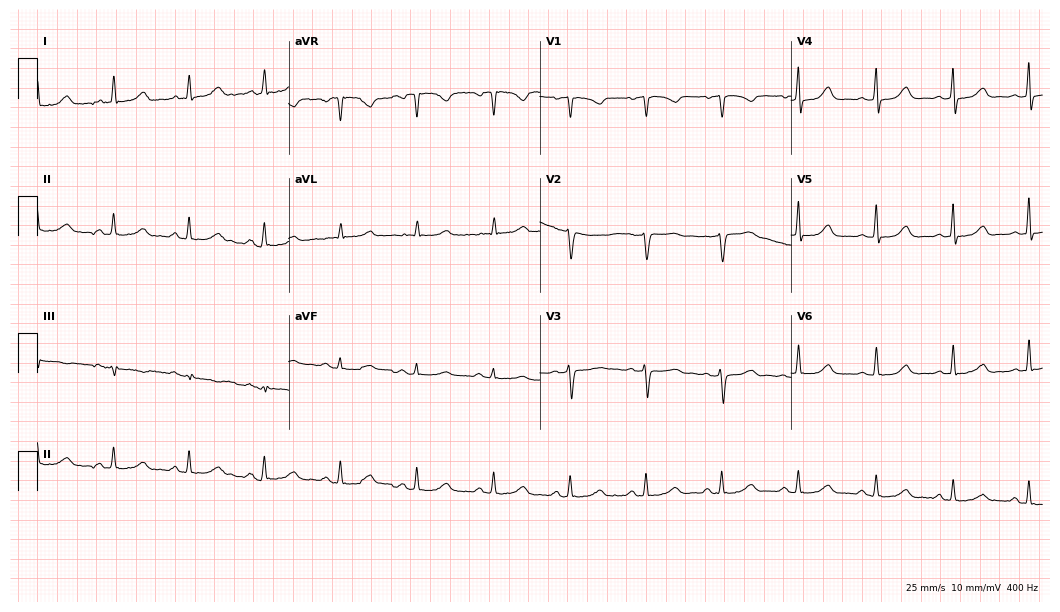
ECG — a 54-year-old male. Screened for six findings — first-degree AV block, right bundle branch block, left bundle branch block, sinus bradycardia, atrial fibrillation, sinus tachycardia — none is recorded.